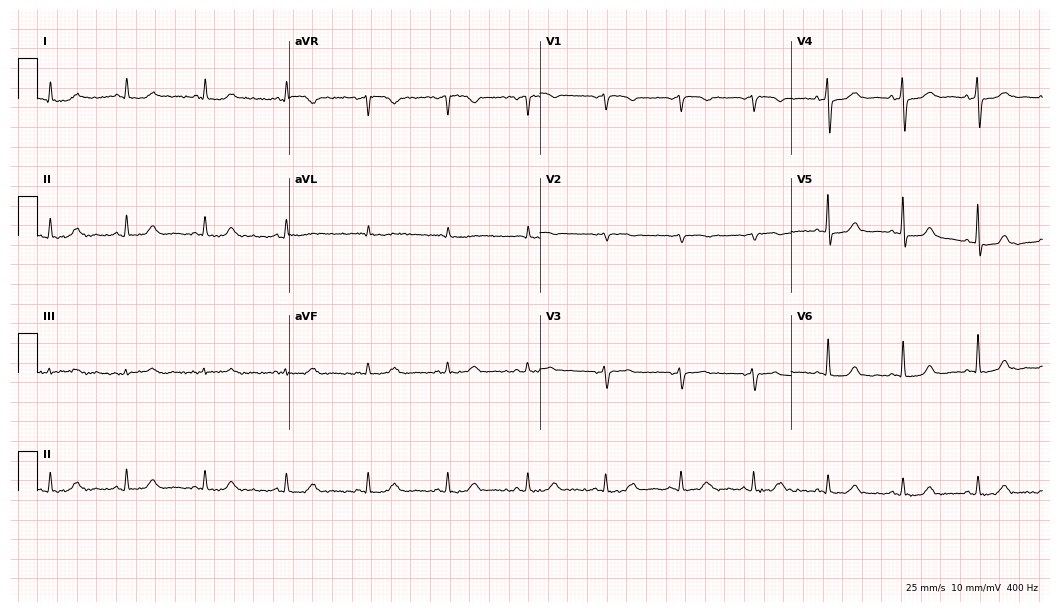
ECG — a female, 66 years old. Screened for six findings — first-degree AV block, right bundle branch block, left bundle branch block, sinus bradycardia, atrial fibrillation, sinus tachycardia — none is recorded.